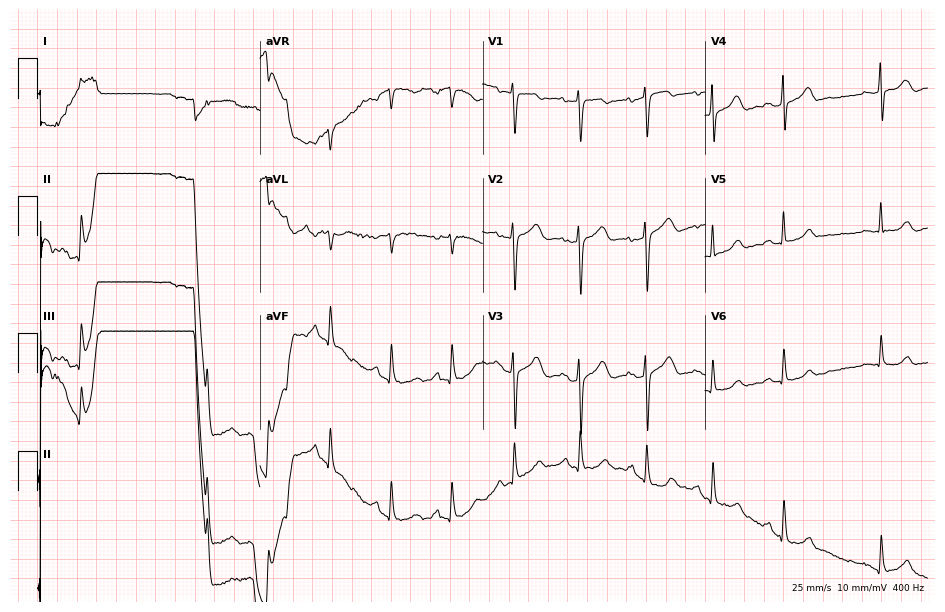
Electrocardiogram, a 58-year-old woman. Of the six screened findings (first-degree AV block, right bundle branch block, left bundle branch block, sinus bradycardia, atrial fibrillation, sinus tachycardia), none is recorded. Findings outside these six are not listed.